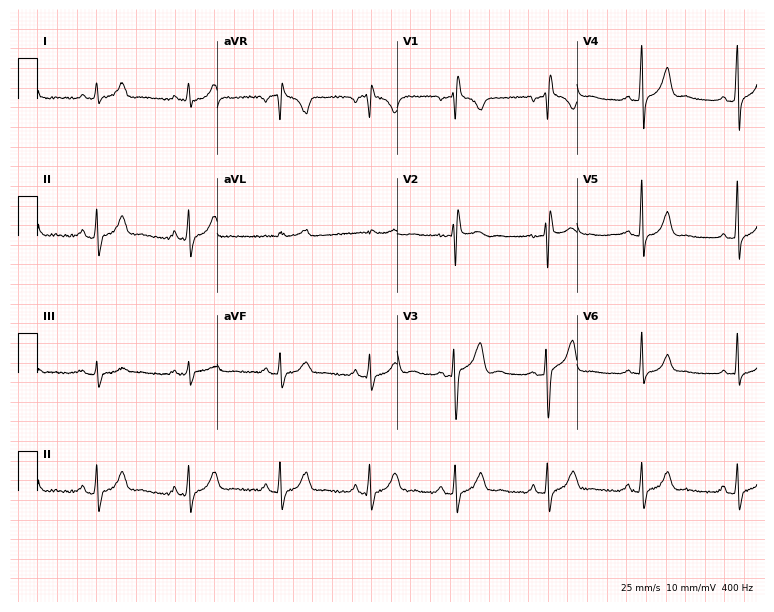
12-lead ECG (7.3-second recording at 400 Hz) from a 30-year-old man. Labelled as a normal ECG.